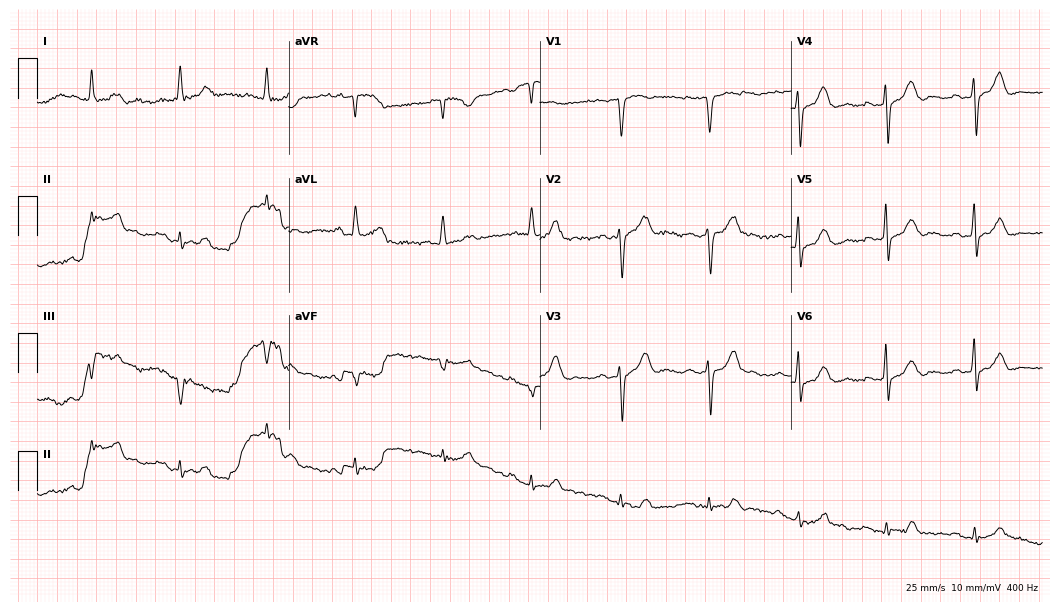
12-lead ECG from a 76-year-old man. Screened for six findings — first-degree AV block, right bundle branch block, left bundle branch block, sinus bradycardia, atrial fibrillation, sinus tachycardia — none is recorded. Findings outside these six are not listed.